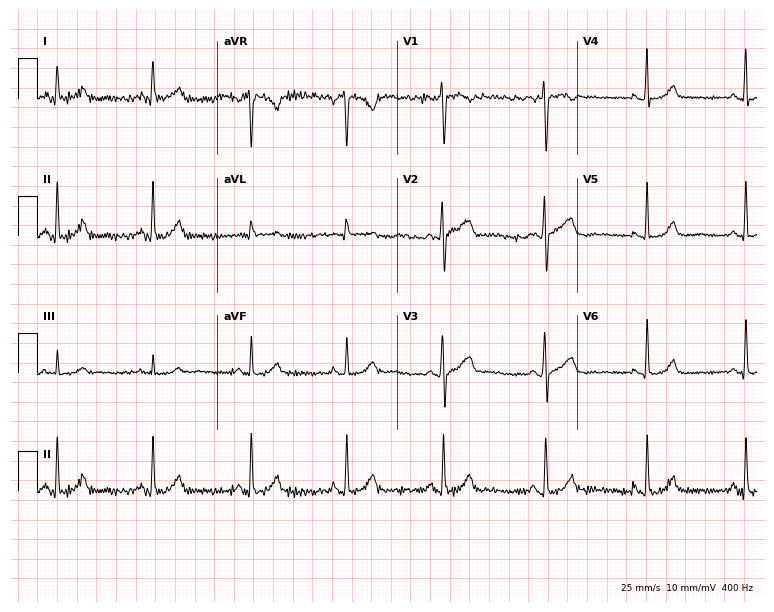
12-lead ECG from a female patient, 38 years old. Labelled as a normal ECG.